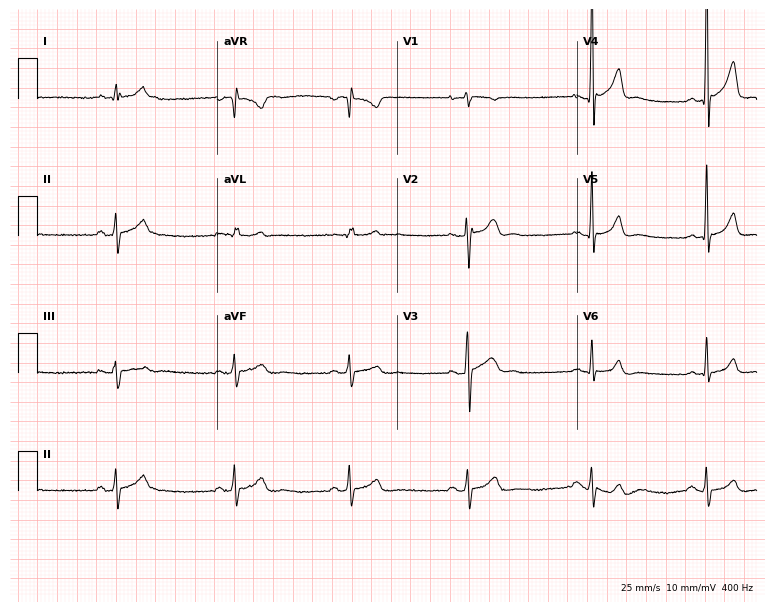
Standard 12-lead ECG recorded from a 17-year-old male. None of these six findings is recorded: first-degree AV block, right bundle branch block (RBBB), left bundle branch block (LBBB), sinus bradycardia, atrial fibrillation (AF), sinus tachycardia.